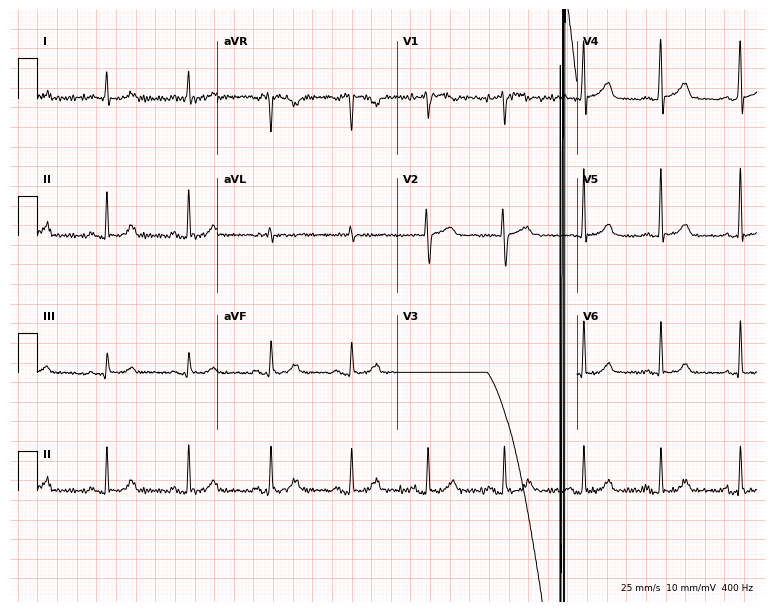
ECG — a 30-year-old male patient. Screened for six findings — first-degree AV block, right bundle branch block, left bundle branch block, sinus bradycardia, atrial fibrillation, sinus tachycardia — none is recorded.